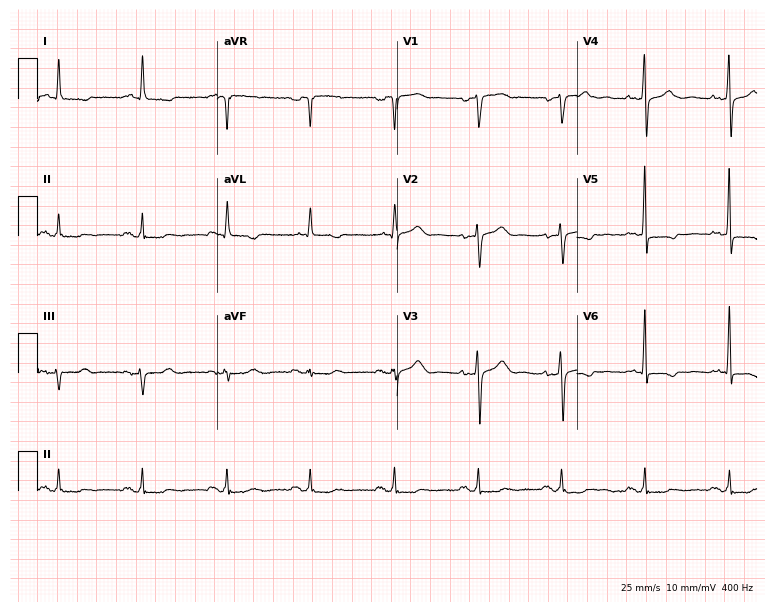
12-lead ECG from a woman, 68 years old. No first-degree AV block, right bundle branch block, left bundle branch block, sinus bradycardia, atrial fibrillation or sinus tachycardia recorded for this tracing. Findings outside these six are not listed.